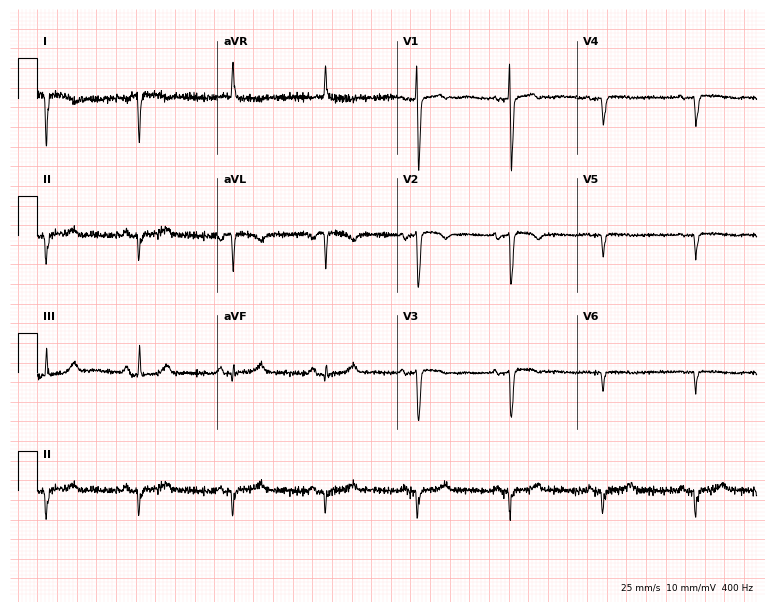
Resting 12-lead electrocardiogram. Patient: a woman, 74 years old. None of these six findings is recorded: first-degree AV block, right bundle branch block, left bundle branch block, sinus bradycardia, atrial fibrillation, sinus tachycardia. Other findings, if any, are not listed.